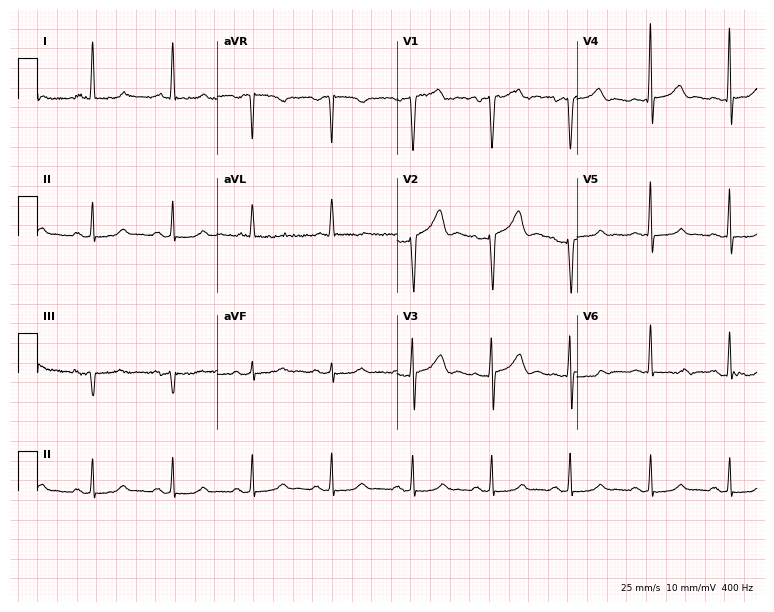
Resting 12-lead electrocardiogram. Patient: a female, 52 years old. None of these six findings is recorded: first-degree AV block, right bundle branch block, left bundle branch block, sinus bradycardia, atrial fibrillation, sinus tachycardia. Other findings, if any, are not listed.